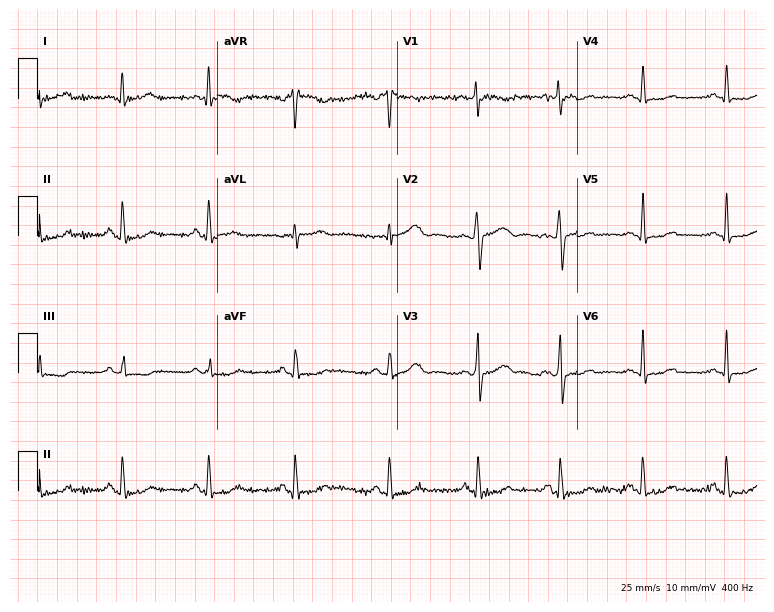
Standard 12-lead ECG recorded from a 32-year-old woman (7.3-second recording at 400 Hz). None of these six findings is recorded: first-degree AV block, right bundle branch block, left bundle branch block, sinus bradycardia, atrial fibrillation, sinus tachycardia.